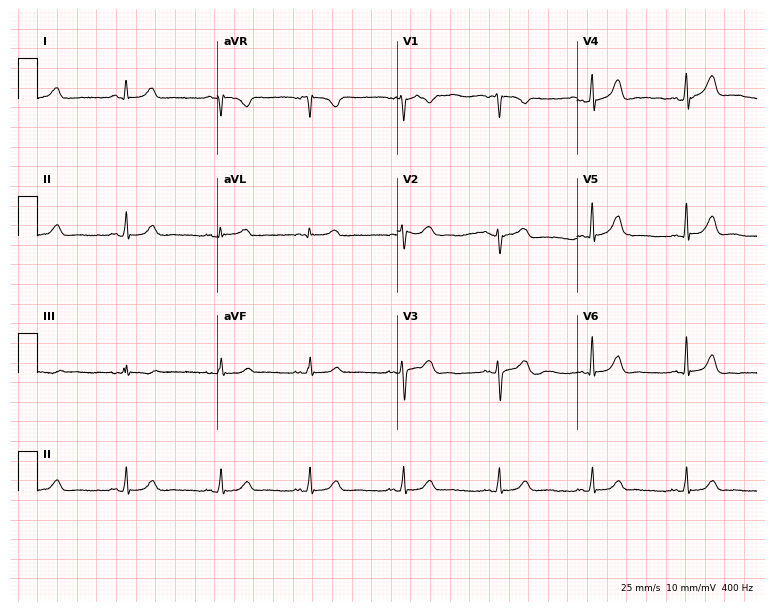
Electrocardiogram, a female patient, 35 years old. Of the six screened findings (first-degree AV block, right bundle branch block (RBBB), left bundle branch block (LBBB), sinus bradycardia, atrial fibrillation (AF), sinus tachycardia), none is recorded.